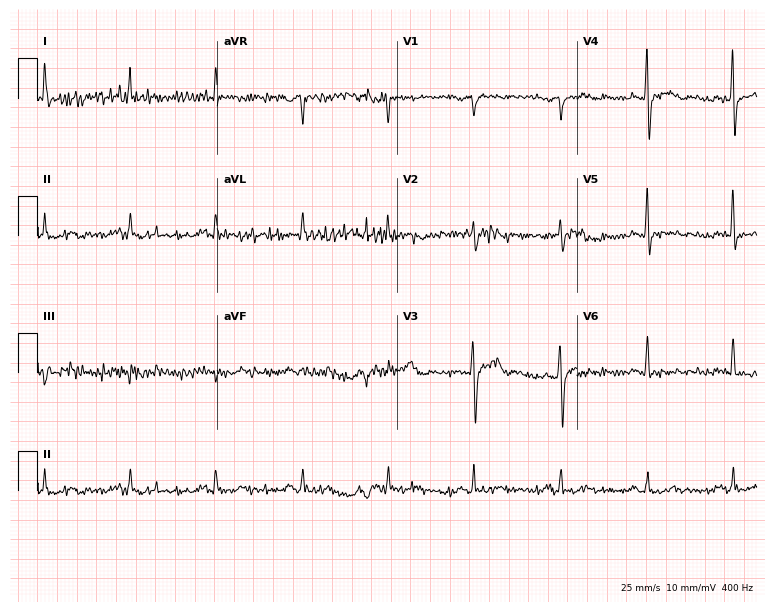
ECG (7.3-second recording at 400 Hz) — a male patient, 71 years old. Screened for six findings — first-degree AV block, right bundle branch block, left bundle branch block, sinus bradycardia, atrial fibrillation, sinus tachycardia — none is recorded.